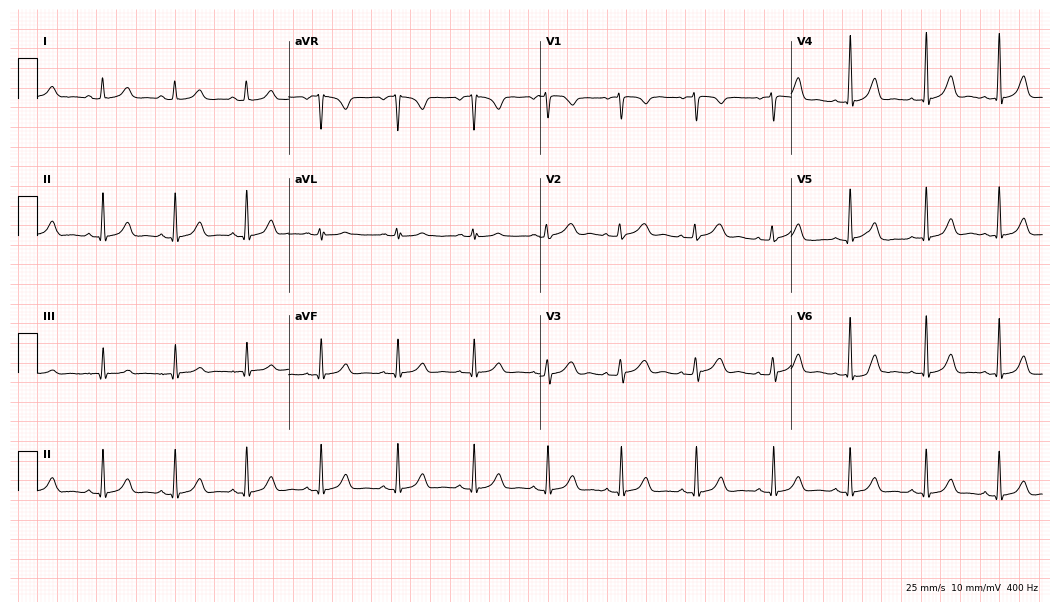
ECG (10.2-second recording at 400 Hz) — a 35-year-old female. Labelled as a normal ECG.